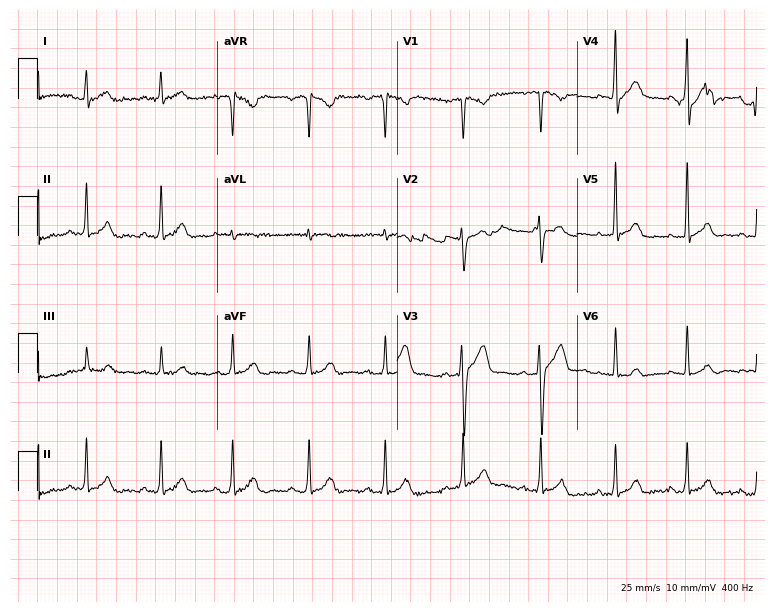
Resting 12-lead electrocardiogram. Patient: a male, 39 years old. Read as a normal ECG.